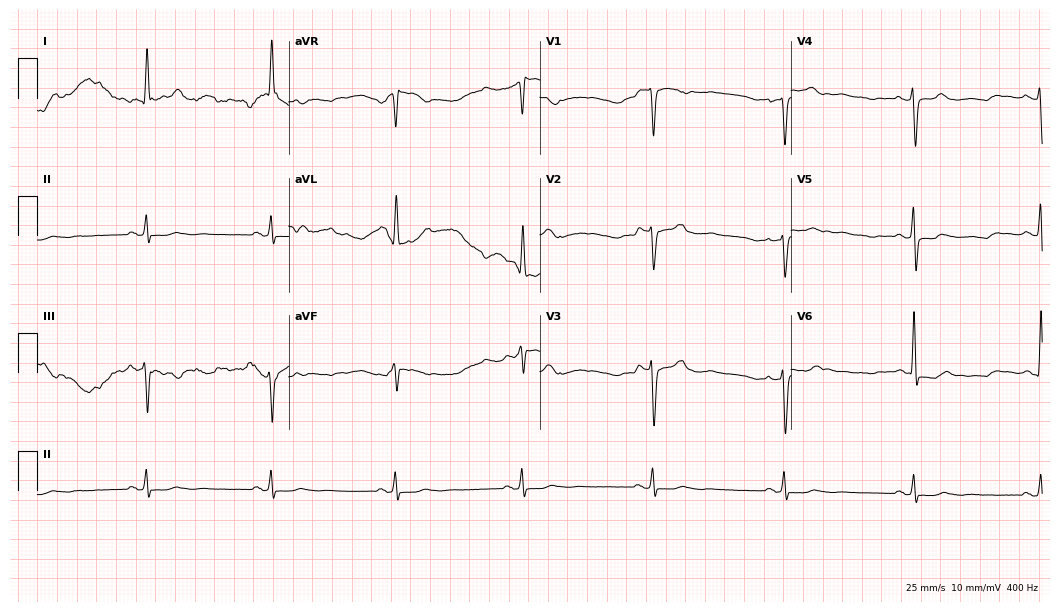
Standard 12-lead ECG recorded from a female, 69 years old (10.2-second recording at 400 Hz). None of these six findings is recorded: first-degree AV block, right bundle branch block, left bundle branch block, sinus bradycardia, atrial fibrillation, sinus tachycardia.